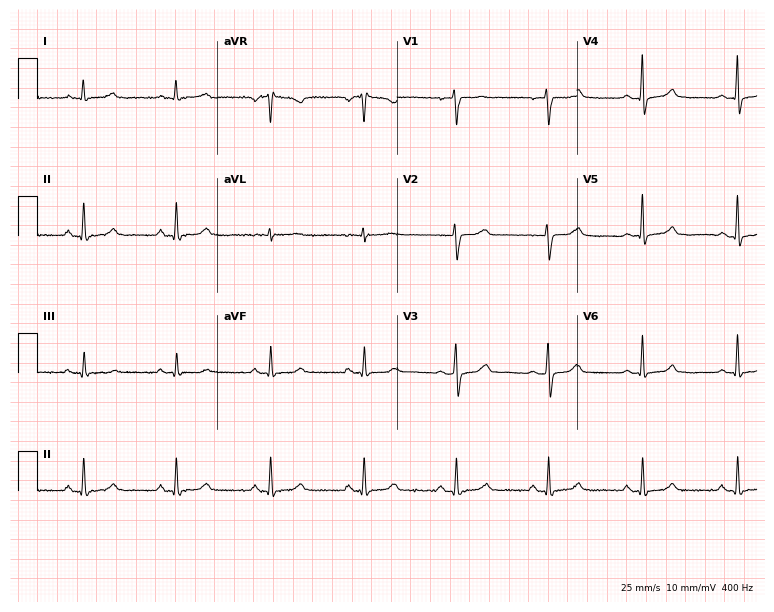
Resting 12-lead electrocardiogram (7.3-second recording at 400 Hz). Patient: a 43-year-old female. None of these six findings is recorded: first-degree AV block, right bundle branch block, left bundle branch block, sinus bradycardia, atrial fibrillation, sinus tachycardia.